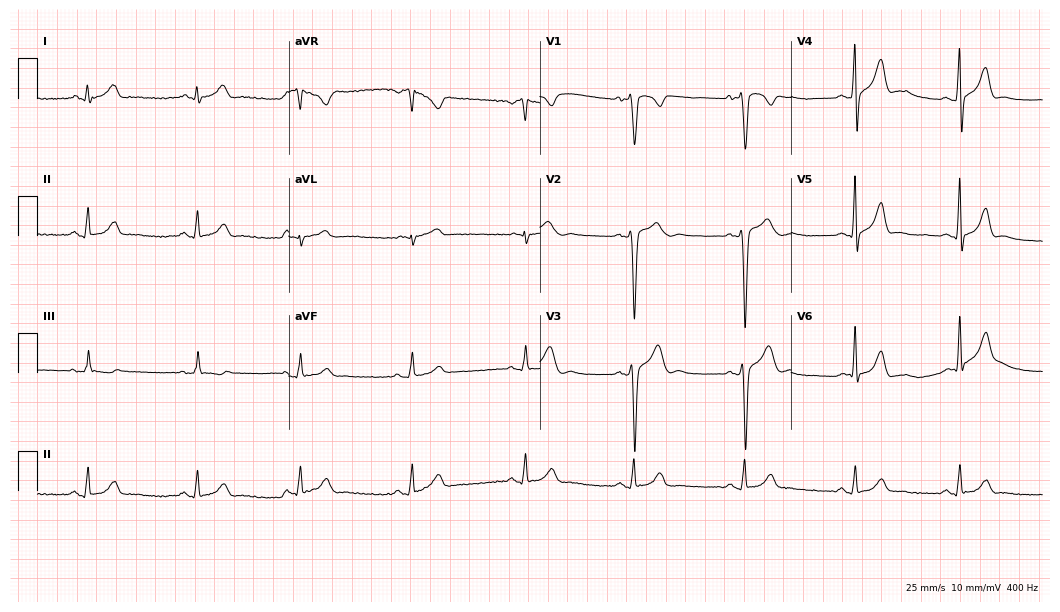
Resting 12-lead electrocardiogram. Patient: a man, 22 years old. None of these six findings is recorded: first-degree AV block, right bundle branch block (RBBB), left bundle branch block (LBBB), sinus bradycardia, atrial fibrillation (AF), sinus tachycardia. Other findings, if any, are not listed.